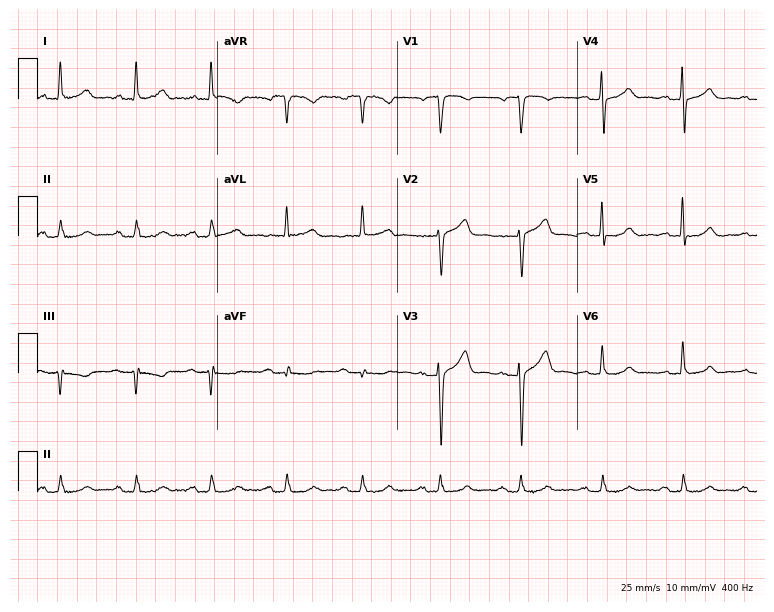
ECG — a 77-year-old man. Screened for six findings — first-degree AV block, right bundle branch block, left bundle branch block, sinus bradycardia, atrial fibrillation, sinus tachycardia — none is recorded. Other findings, if any, are not listed.